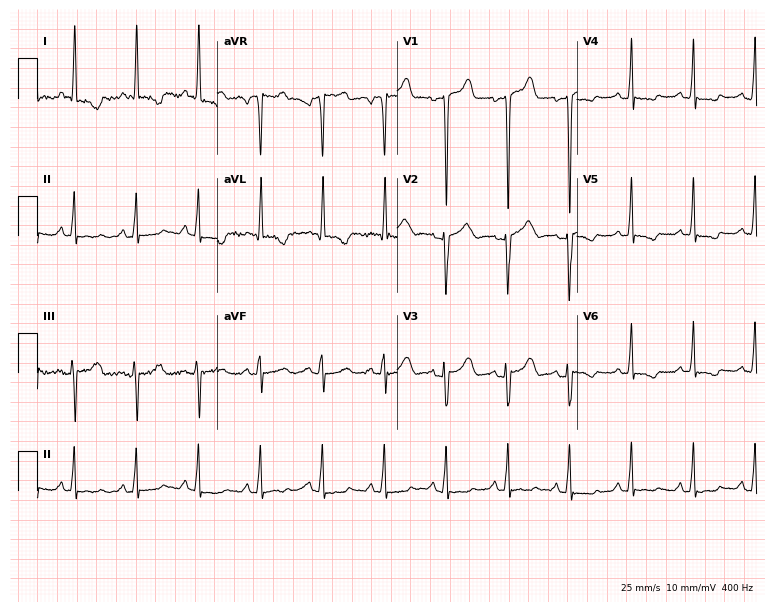
Electrocardiogram, a female, 60 years old. Of the six screened findings (first-degree AV block, right bundle branch block, left bundle branch block, sinus bradycardia, atrial fibrillation, sinus tachycardia), none is recorded. Findings outside these six are not listed.